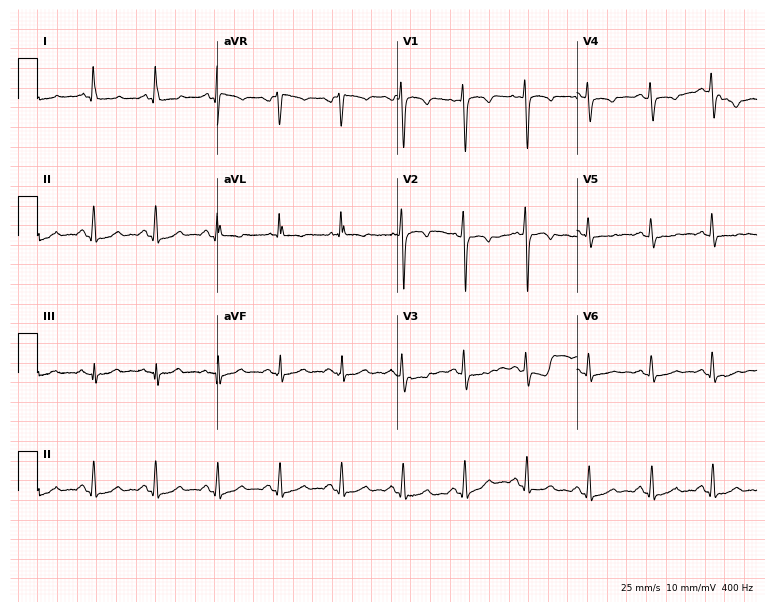
ECG (7.3-second recording at 400 Hz) — a woman, 57 years old. Screened for six findings — first-degree AV block, right bundle branch block, left bundle branch block, sinus bradycardia, atrial fibrillation, sinus tachycardia — none is recorded. Only these six findings were labelled.